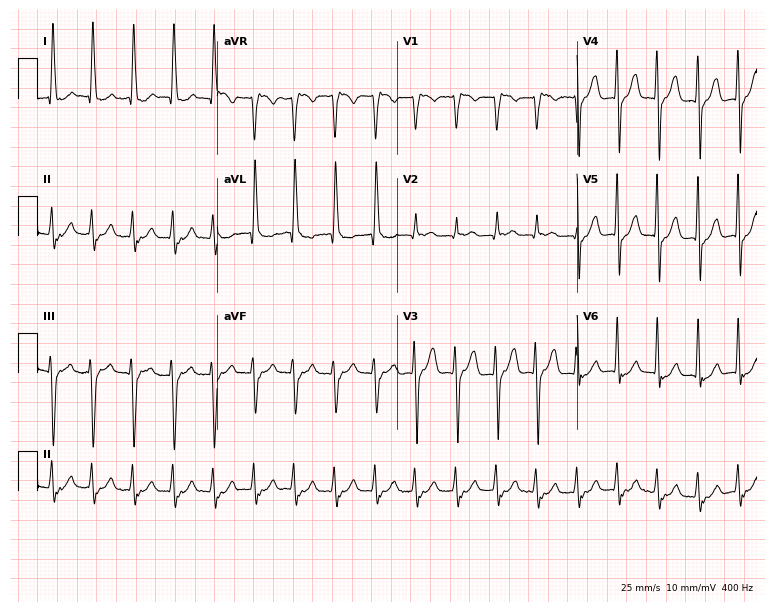
12-lead ECG from an 84-year-old male patient. No first-degree AV block, right bundle branch block, left bundle branch block, sinus bradycardia, atrial fibrillation or sinus tachycardia recorded for this tracing.